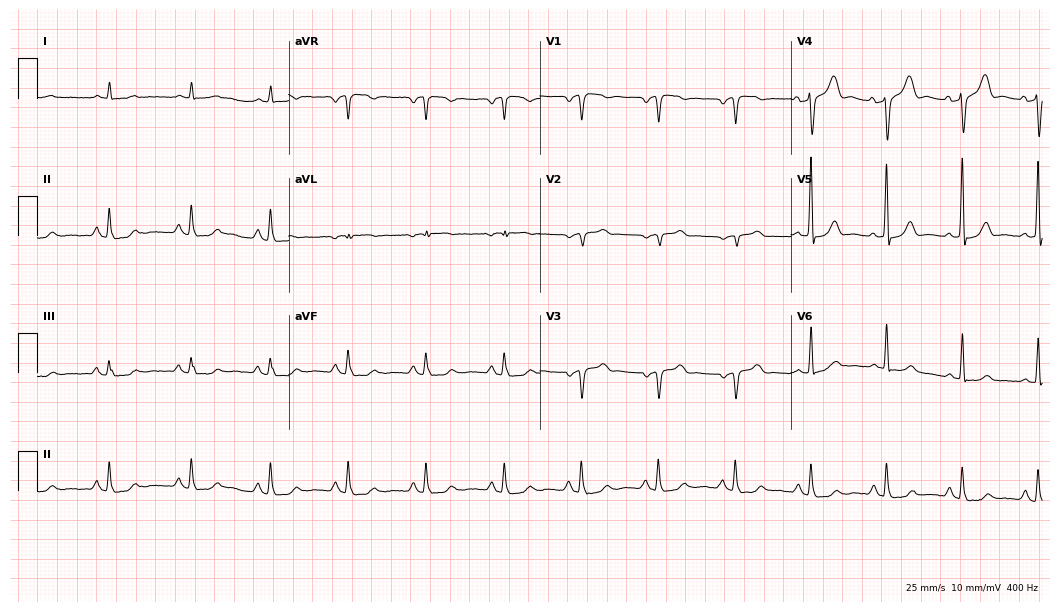
12-lead ECG from a male, 78 years old. Screened for six findings — first-degree AV block, right bundle branch block (RBBB), left bundle branch block (LBBB), sinus bradycardia, atrial fibrillation (AF), sinus tachycardia — none is recorded.